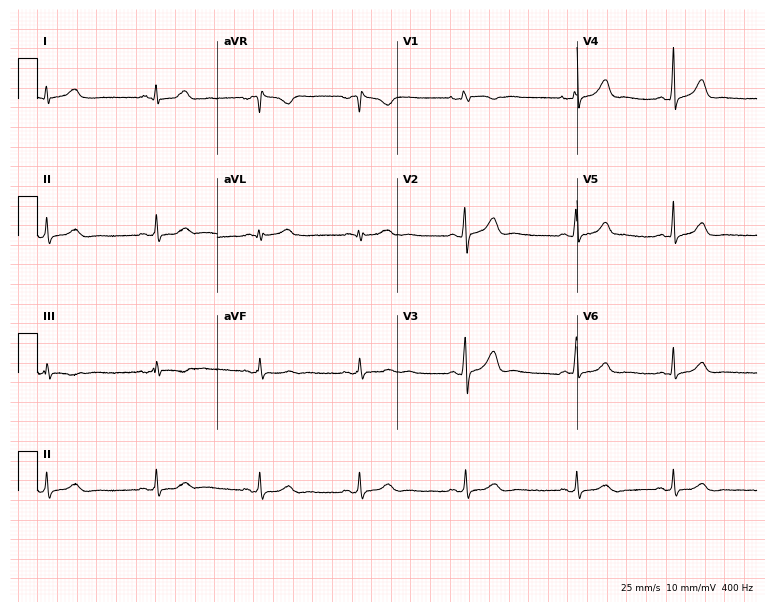
12-lead ECG from a 21-year-old woman. Labelled as a normal ECG.